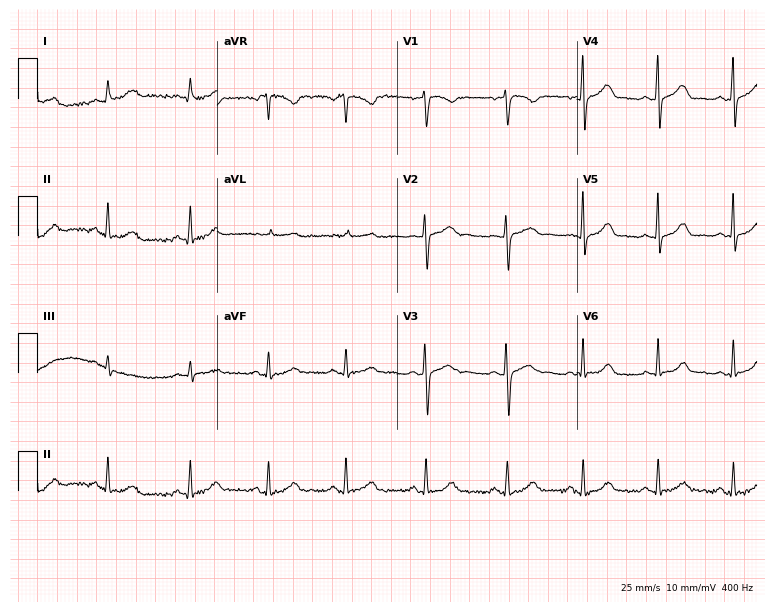
ECG (7.3-second recording at 400 Hz) — a 34-year-old woman. Labelled as a normal ECG.